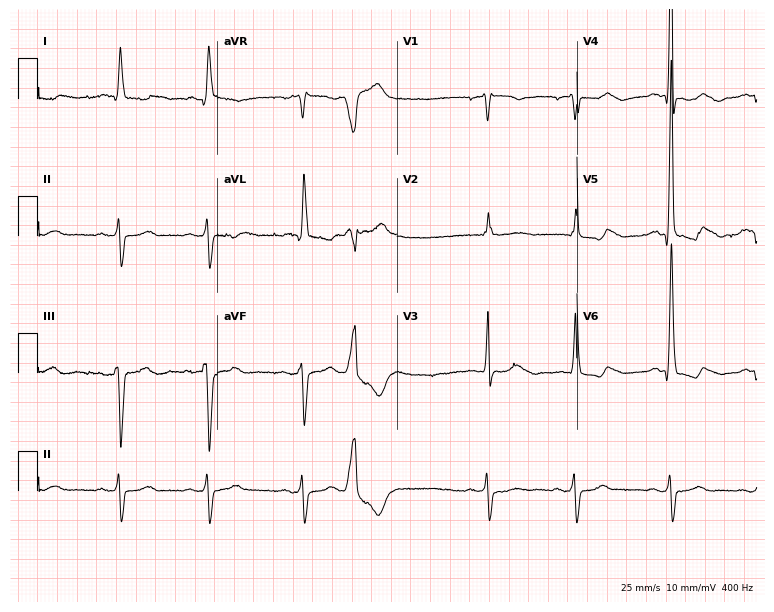
Electrocardiogram, a male patient, 79 years old. Of the six screened findings (first-degree AV block, right bundle branch block, left bundle branch block, sinus bradycardia, atrial fibrillation, sinus tachycardia), none is recorded.